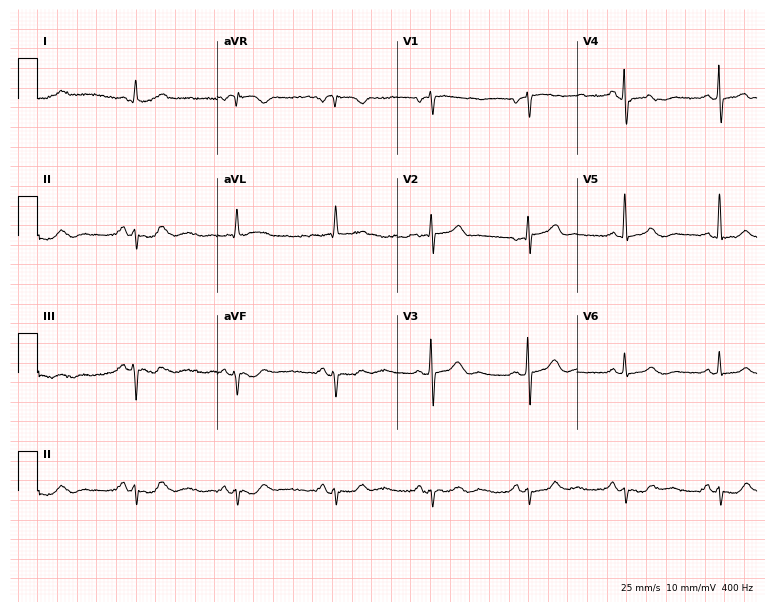
Electrocardiogram (7.3-second recording at 400 Hz), a 67-year-old male patient. Of the six screened findings (first-degree AV block, right bundle branch block (RBBB), left bundle branch block (LBBB), sinus bradycardia, atrial fibrillation (AF), sinus tachycardia), none is recorded.